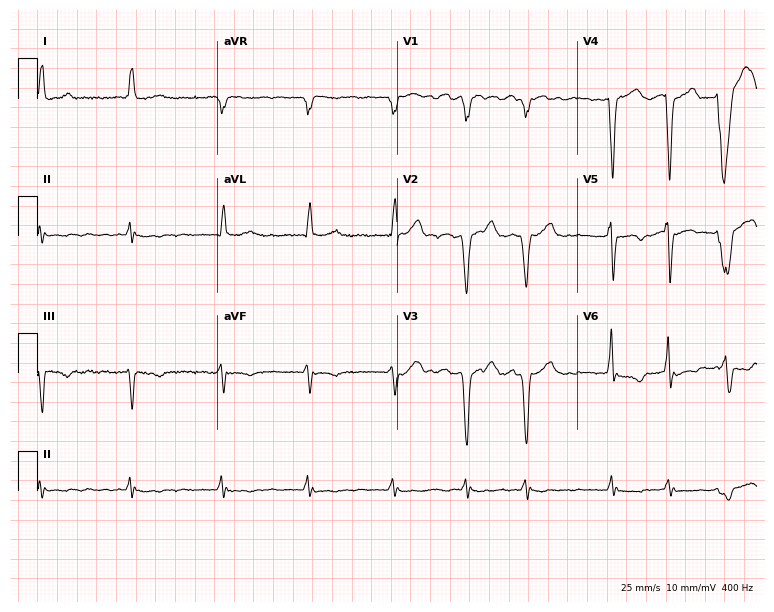
Standard 12-lead ECG recorded from a 64-year-old male (7.3-second recording at 400 Hz). The tracing shows atrial fibrillation.